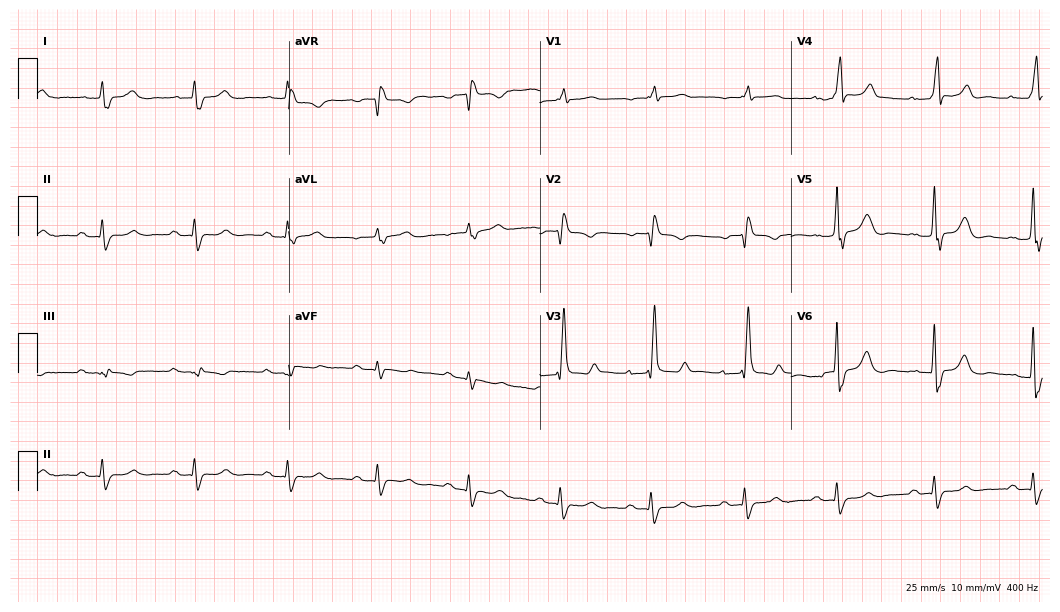
Resting 12-lead electrocardiogram (10.2-second recording at 400 Hz). Patient: a 78-year-old male. The tracing shows first-degree AV block, right bundle branch block.